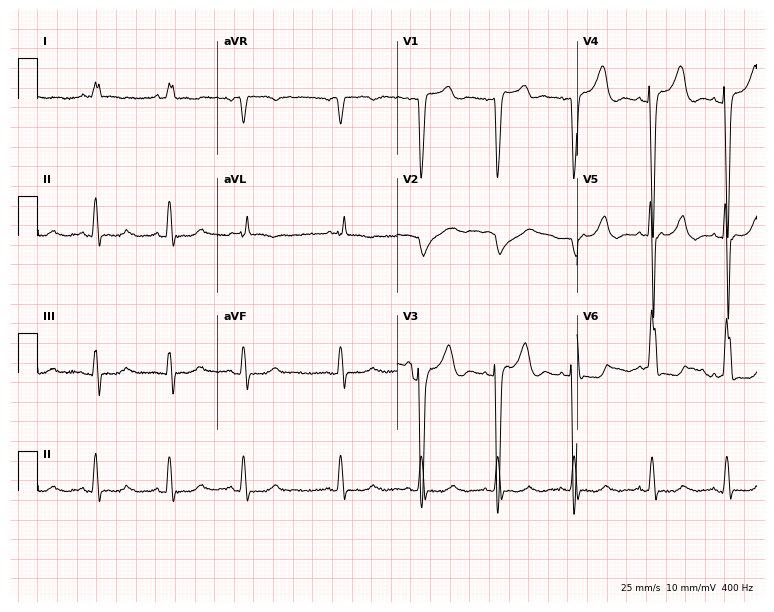
12-lead ECG (7.3-second recording at 400 Hz) from a 75-year-old female patient. Screened for six findings — first-degree AV block, right bundle branch block (RBBB), left bundle branch block (LBBB), sinus bradycardia, atrial fibrillation (AF), sinus tachycardia — none is recorded.